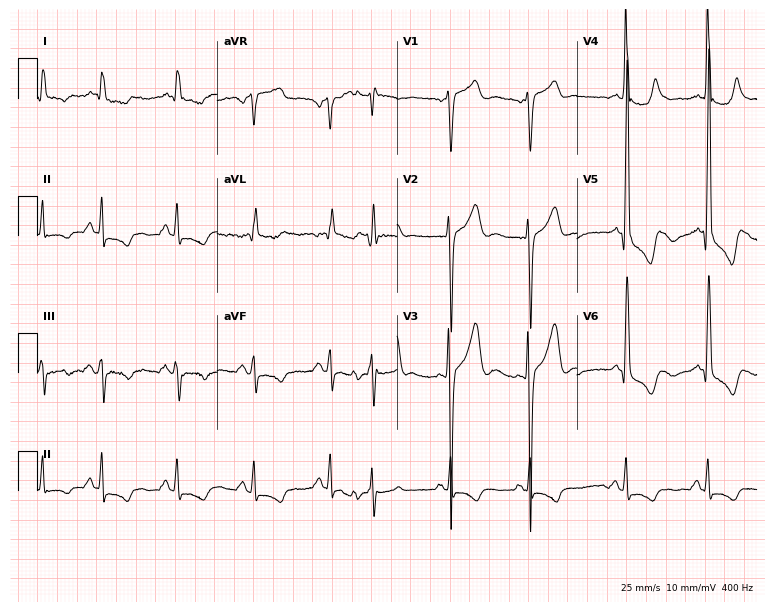
Standard 12-lead ECG recorded from a male, 54 years old. None of these six findings is recorded: first-degree AV block, right bundle branch block, left bundle branch block, sinus bradycardia, atrial fibrillation, sinus tachycardia. Findings outside these six are not listed.